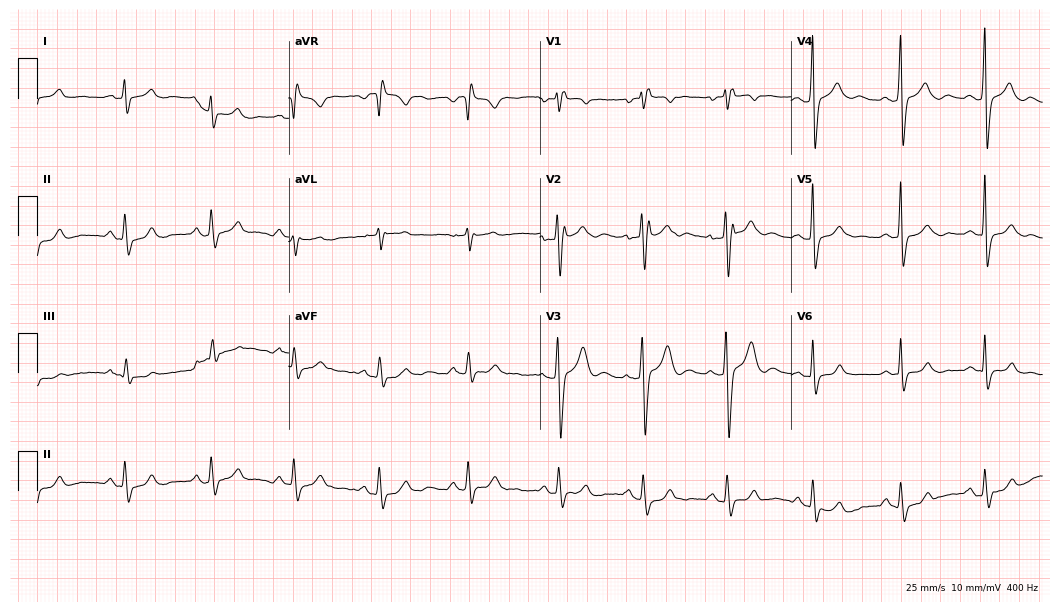
12-lead ECG from a 38-year-old male patient. Shows right bundle branch block.